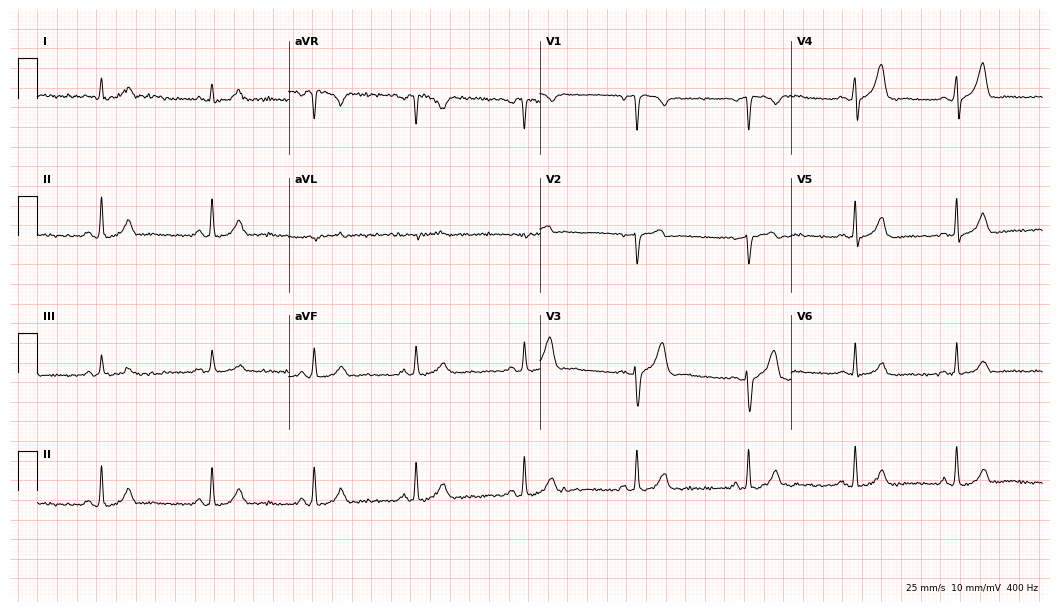
Electrocardiogram (10.2-second recording at 400 Hz), a 50-year-old man. Of the six screened findings (first-degree AV block, right bundle branch block, left bundle branch block, sinus bradycardia, atrial fibrillation, sinus tachycardia), none is recorded.